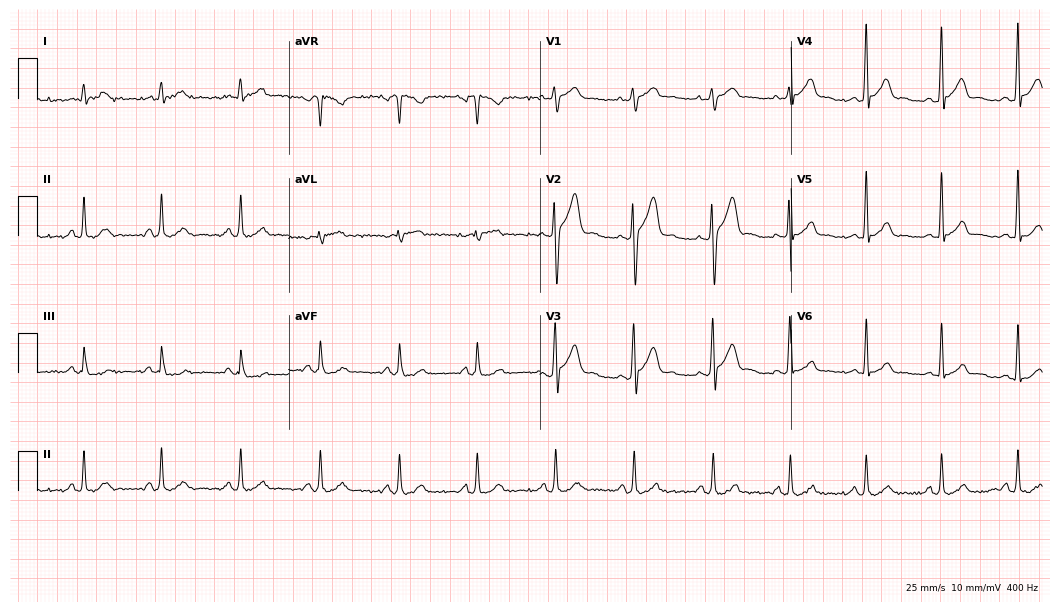
12-lead ECG from a male patient, 25 years old. Labelled as a normal ECG.